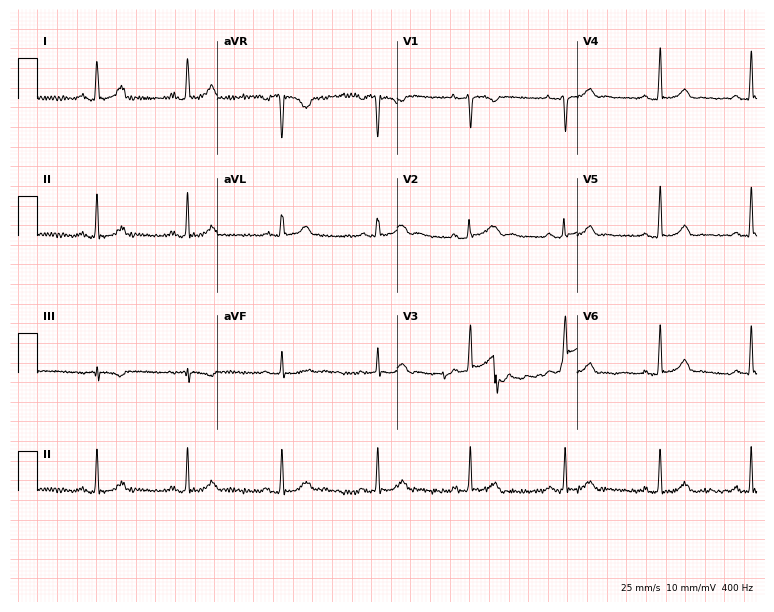
Standard 12-lead ECG recorded from a female, 37 years old. Read as a normal ECG.